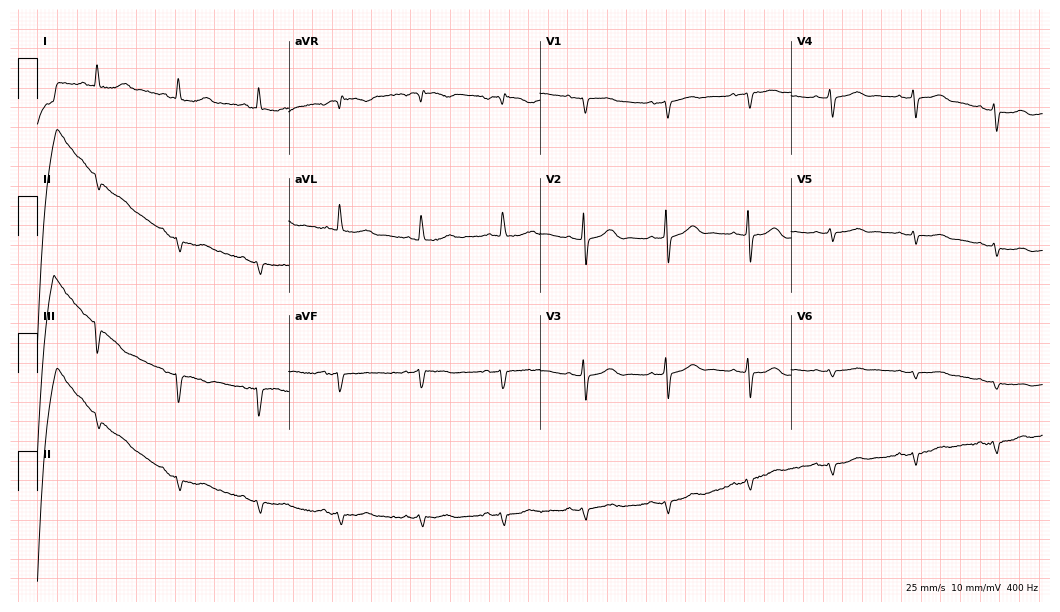
Standard 12-lead ECG recorded from an 81-year-old woman. None of these six findings is recorded: first-degree AV block, right bundle branch block (RBBB), left bundle branch block (LBBB), sinus bradycardia, atrial fibrillation (AF), sinus tachycardia.